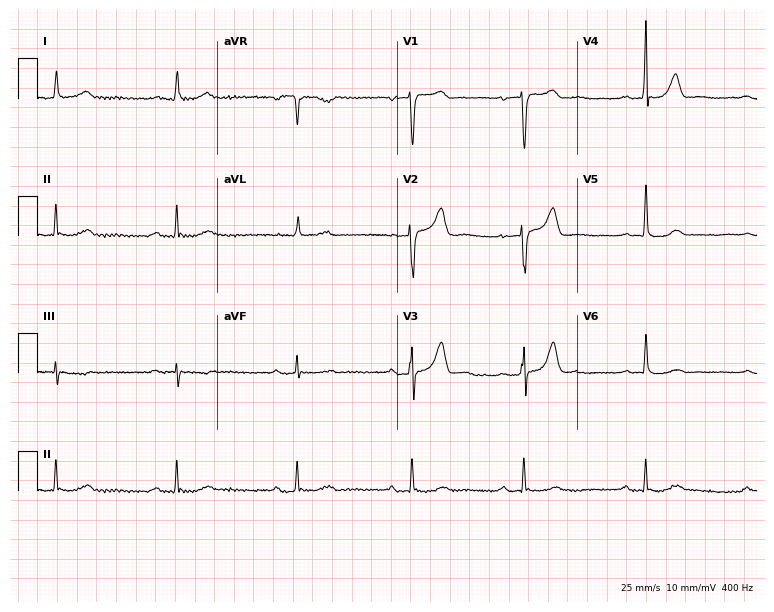
ECG (7.3-second recording at 400 Hz) — a male patient, 66 years old. Findings include sinus bradycardia (a sinus rate of 50 beats per minute or less).